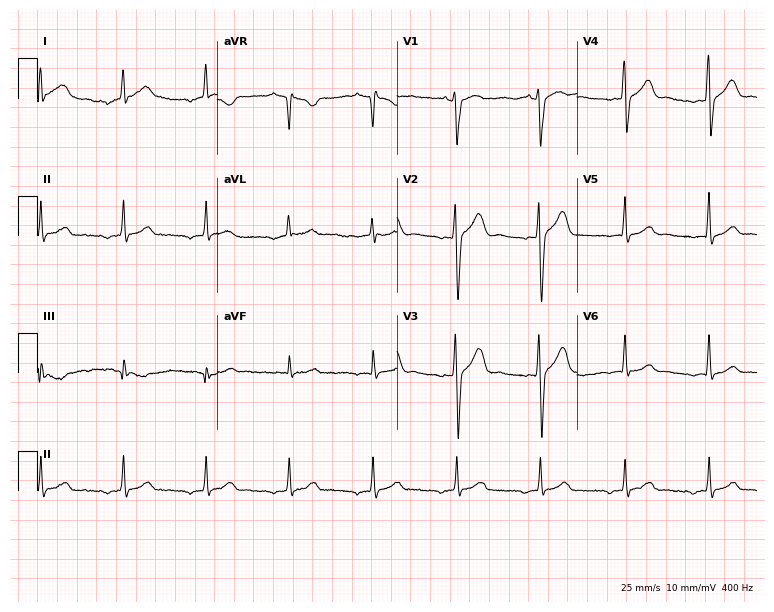
Electrocardiogram, a male patient, 34 years old. Of the six screened findings (first-degree AV block, right bundle branch block, left bundle branch block, sinus bradycardia, atrial fibrillation, sinus tachycardia), none is recorded.